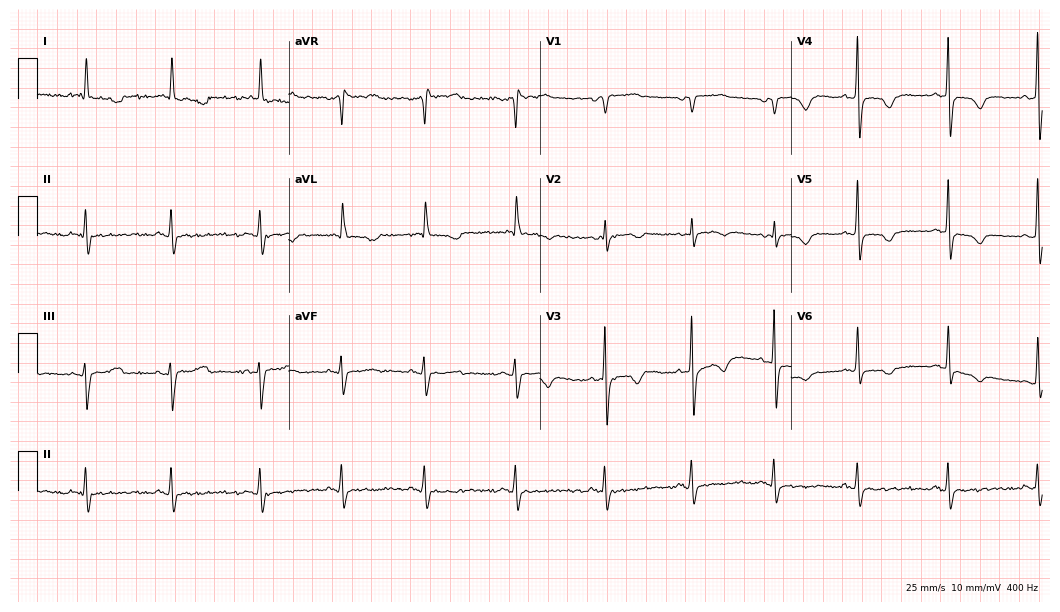
Standard 12-lead ECG recorded from a woman, 75 years old (10.2-second recording at 400 Hz). None of these six findings is recorded: first-degree AV block, right bundle branch block, left bundle branch block, sinus bradycardia, atrial fibrillation, sinus tachycardia. Only these six findings were labelled.